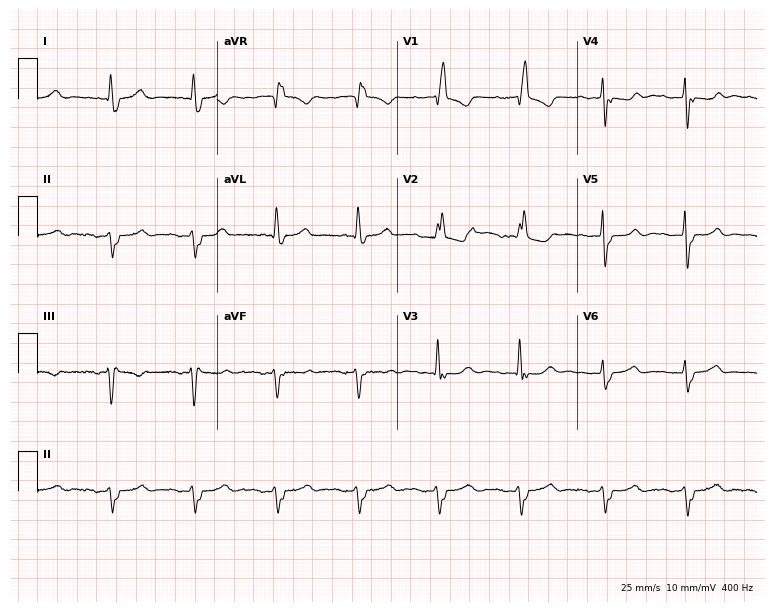
12-lead ECG from an 83-year-old woman. Shows right bundle branch block.